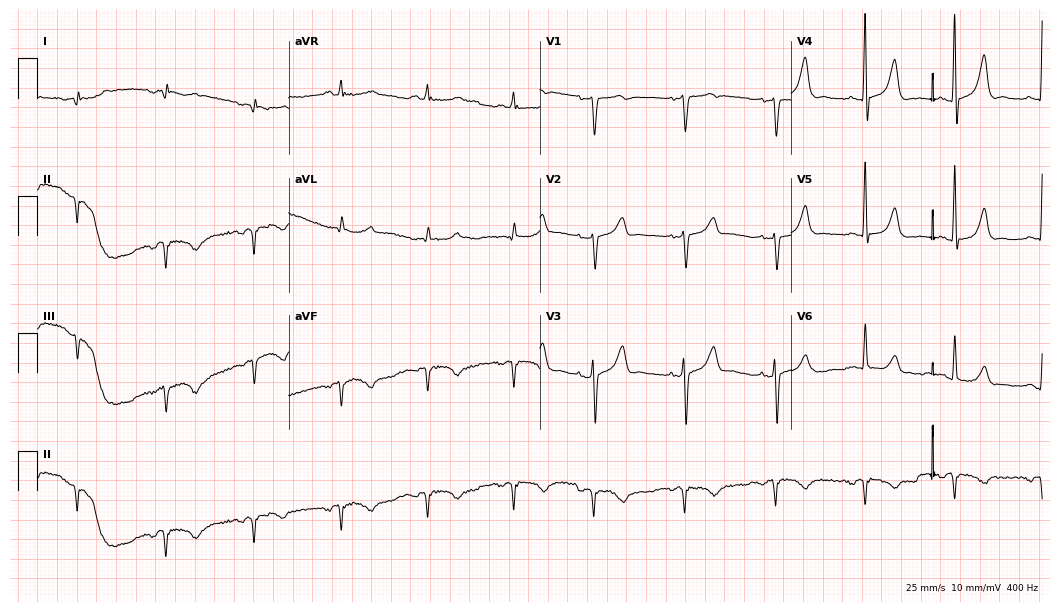
Electrocardiogram (10.2-second recording at 400 Hz), an 80-year-old woman. Of the six screened findings (first-degree AV block, right bundle branch block (RBBB), left bundle branch block (LBBB), sinus bradycardia, atrial fibrillation (AF), sinus tachycardia), none is recorded.